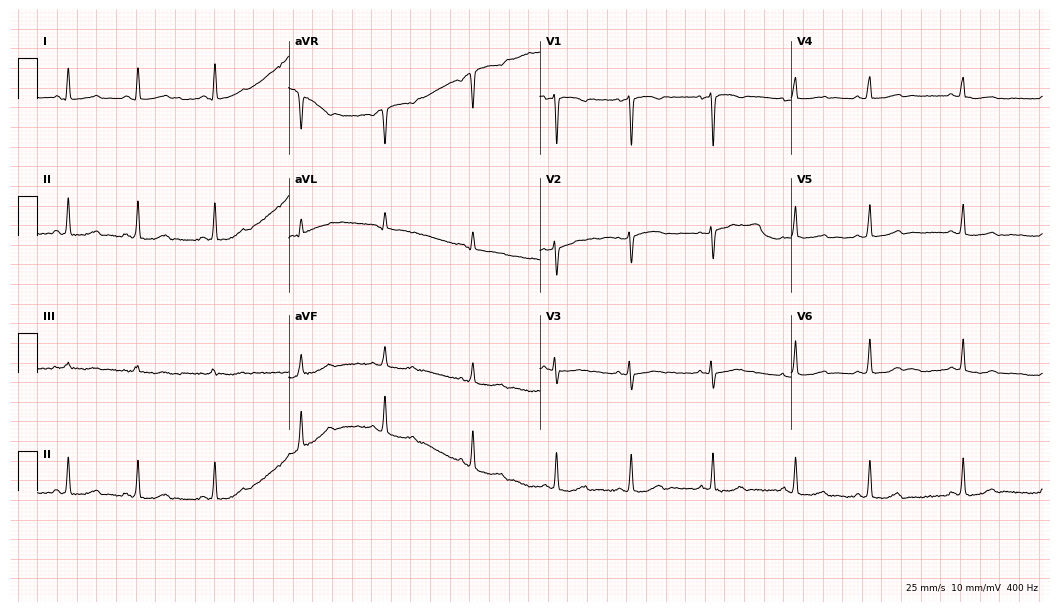
12-lead ECG (10.2-second recording at 400 Hz) from a 24-year-old female. Screened for six findings — first-degree AV block, right bundle branch block, left bundle branch block, sinus bradycardia, atrial fibrillation, sinus tachycardia — none is recorded. Other findings, if any, are not listed.